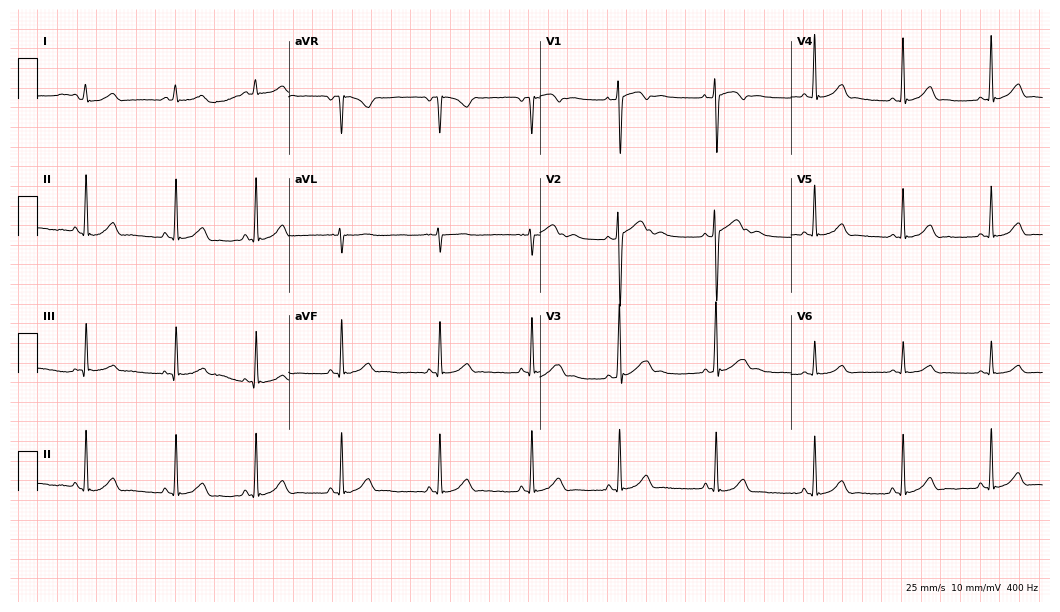
12-lead ECG (10.2-second recording at 400 Hz) from a 19-year-old woman. Labelled as a normal ECG.